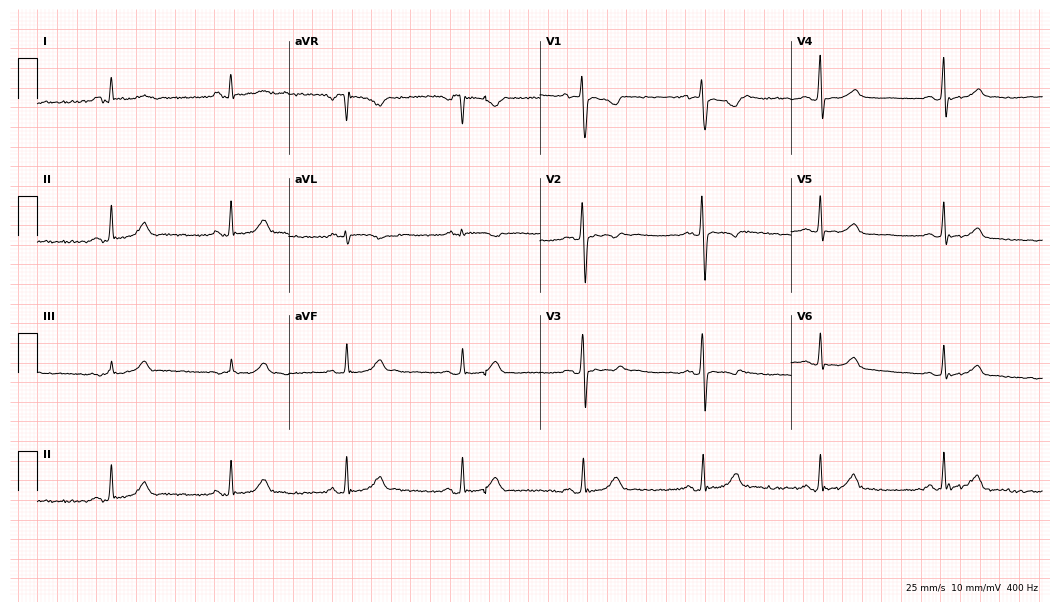
Standard 12-lead ECG recorded from a female patient, 53 years old. The tracing shows sinus bradycardia (a sinus rate of 50 beats per minute or less).